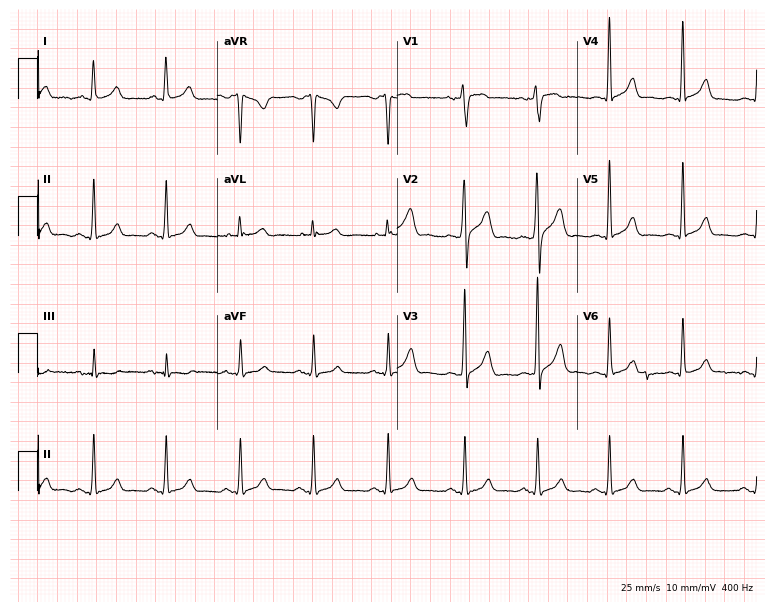
12-lead ECG (7.3-second recording at 400 Hz) from a 48-year-old man. Screened for six findings — first-degree AV block, right bundle branch block, left bundle branch block, sinus bradycardia, atrial fibrillation, sinus tachycardia — none is recorded.